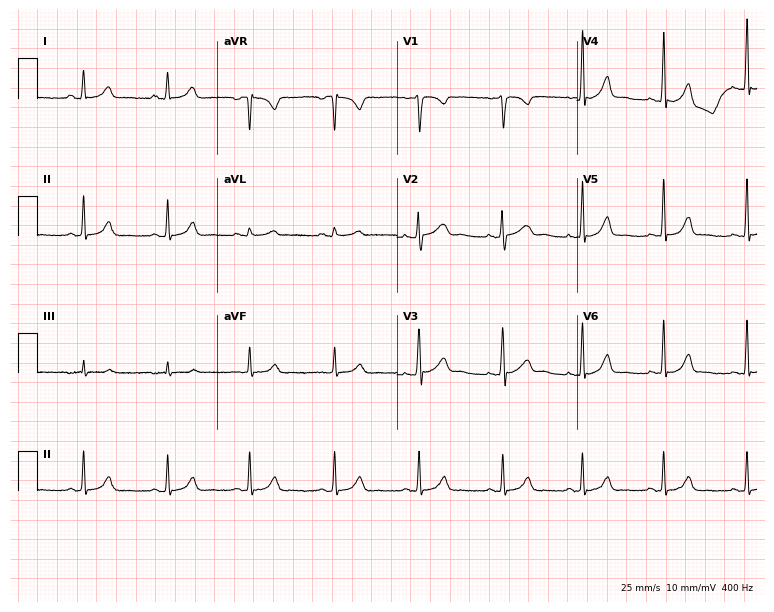
12-lead ECG from a female patient, 17 years old (7.3-second recording at 400 Hz). Recorded interpretation: within normal limits.